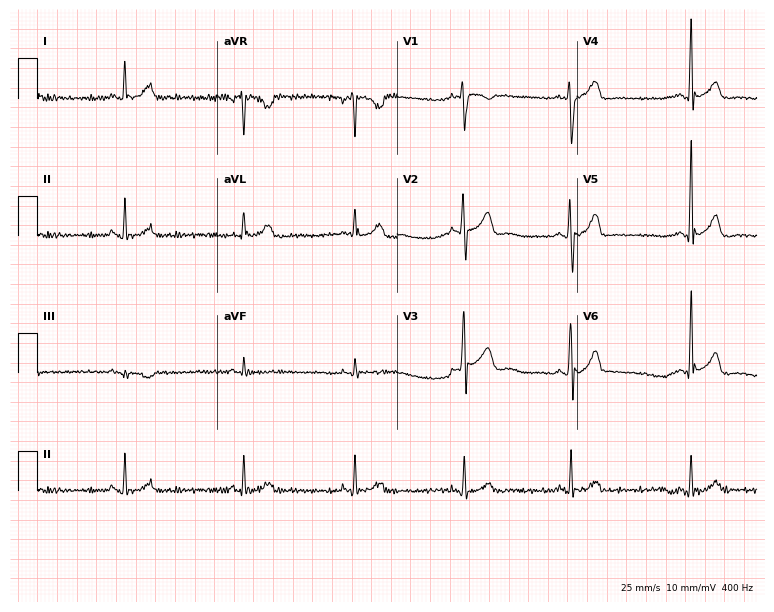
Standard 12-lead ECG recorded from a 40-year-old male (7.3-second recording at 400 Hz). None of these six findings is recorded: first-degree AV block, right bundle branch block, left bundle branch block, sinus bradycardia, atrial fibrillation, sinus tachycardia. Findings outside these six are not listed.